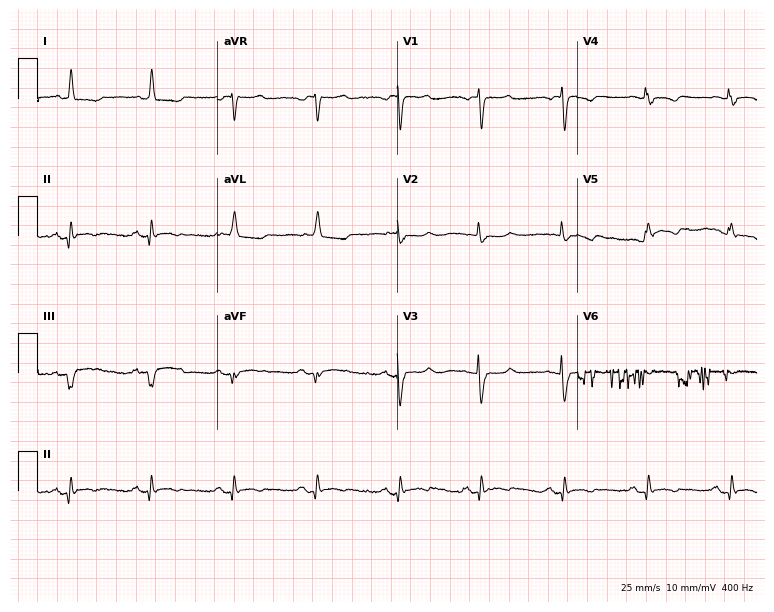
12-lead ECG from a 65-year-old woman. Screened for six findings — first-degree AV block, right bundle branch block, left bundle branch block, sinus bradycardia, atrial fibrillation, sinus tachycardia — none is recorded.